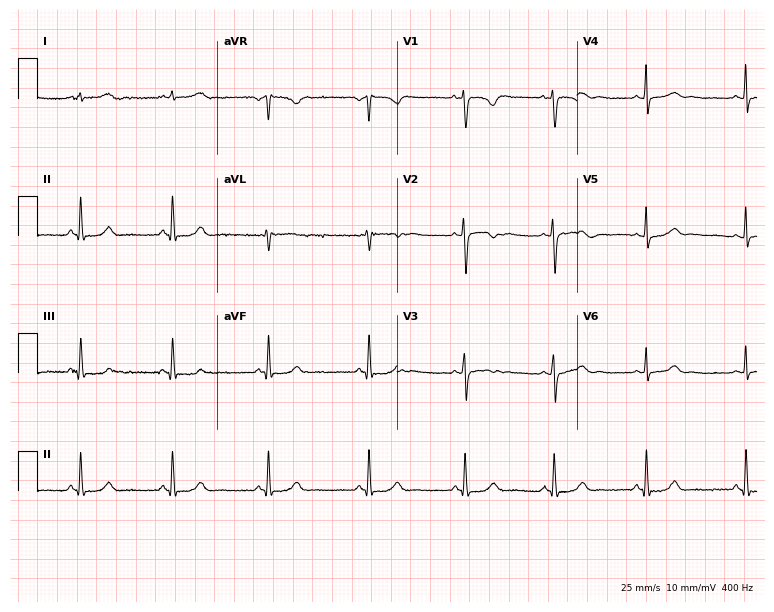
ECG — a 24-year-old female. Screened for six findings — first-degree AV block, right bundle branch block, left bundle branch block, sinus bradycardia, atrial fibrillation, sinus tachycardia — none is recorded.